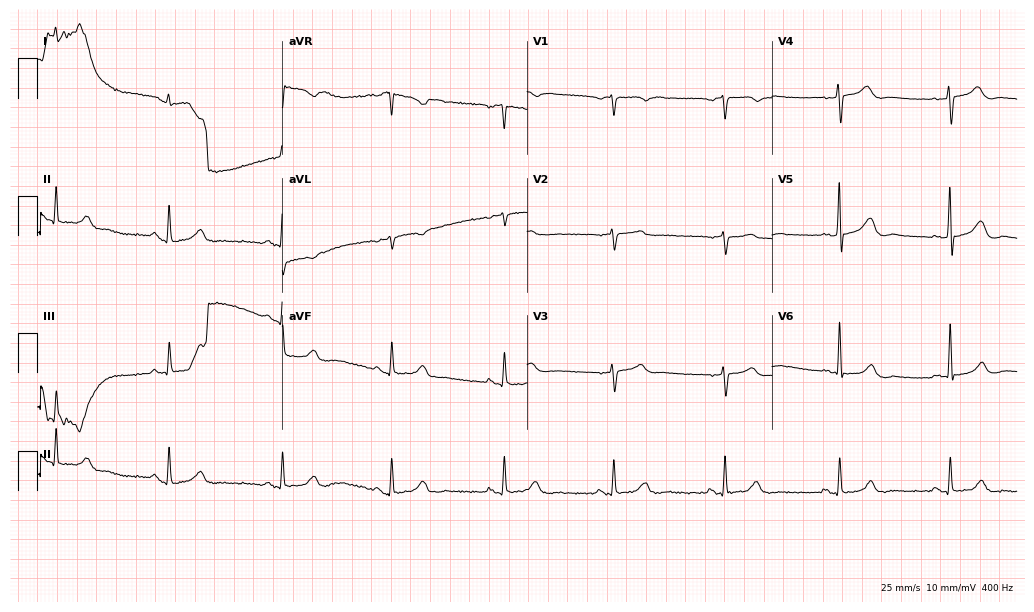
Resting 12-lead electrocardiogram (10-second recording at 400 Hz). Patient: a male, 76 years old. Read as a normal ECG.